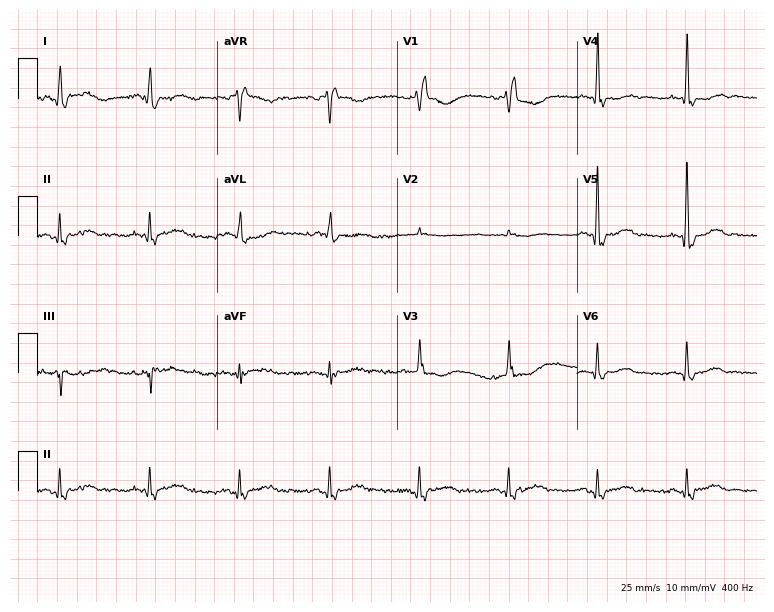
Standard 12-lead ECG recorded from a 76-year-old woman (7.3-second recording at 400 Hz). The tracing shows right bundle branch block (RBBB).